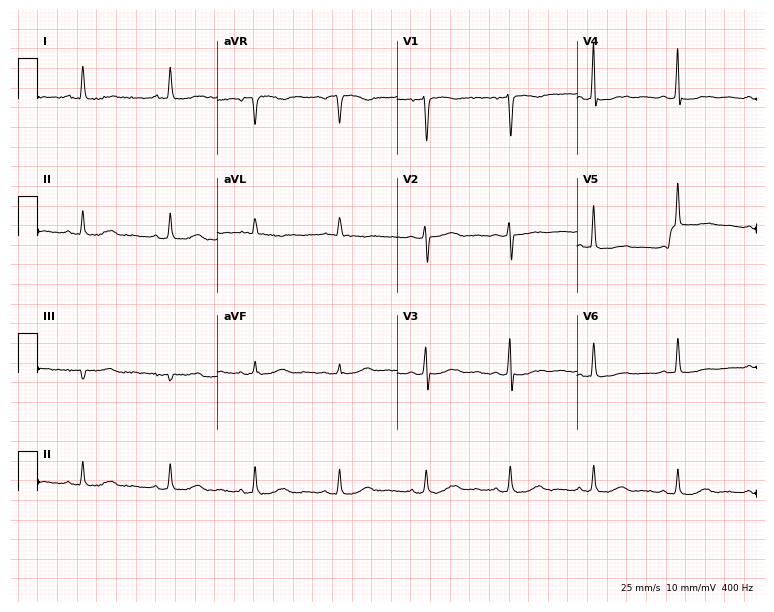
12-lead ECG from a woman, 75 years old (7.3-second recording at 400 Hz). No first-degree AV block, right bundle branch block, left bundle branch block, sinus bradycardia, atrial fibrillation or sinus tachycardia recorded for this tracing. Findings outside these six are not listed.